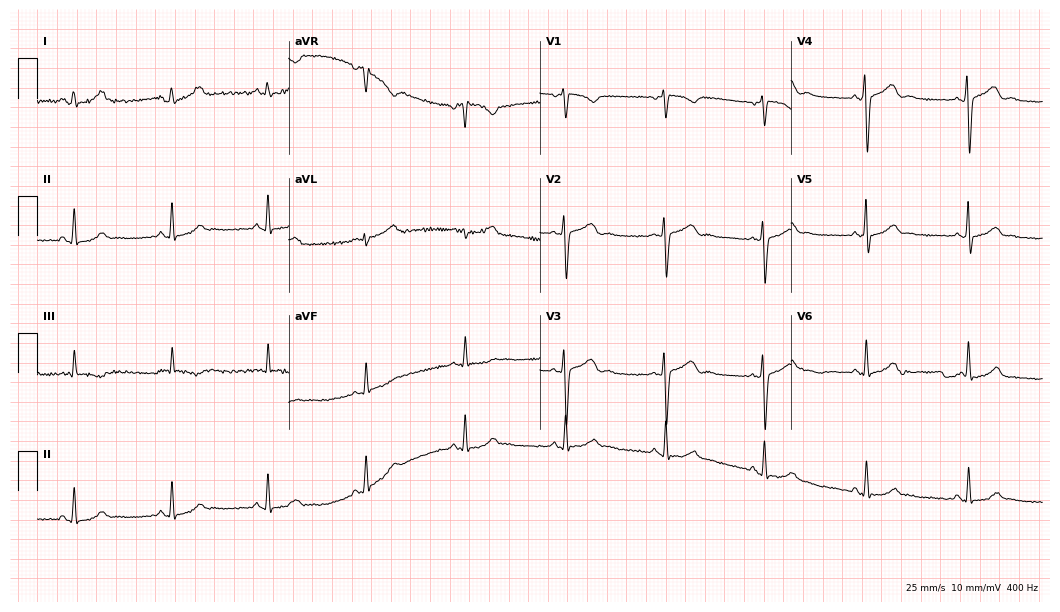
Resting 12-lead electrocardiogram (10.2-second recording at 400 Hz). Patient: a female, 33 years old. None of these six findings is recorded: first-degree AV block, right bundle branch block, left bundle branch block, sinus bradycardia, atrial fibrillation, sinus tachycardia. Other findings, if any, are not listed.